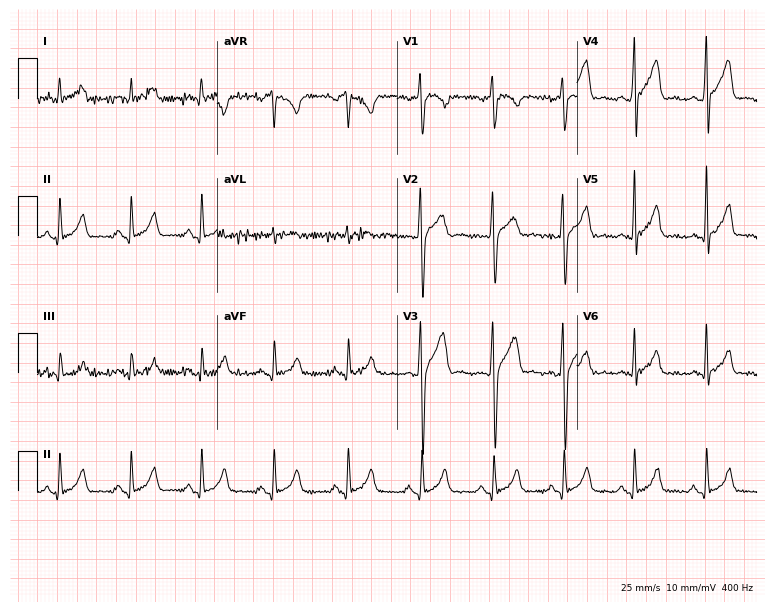
12-lead ECG from a 23-year-old male patient. Recorded interpretation: within normal limits.